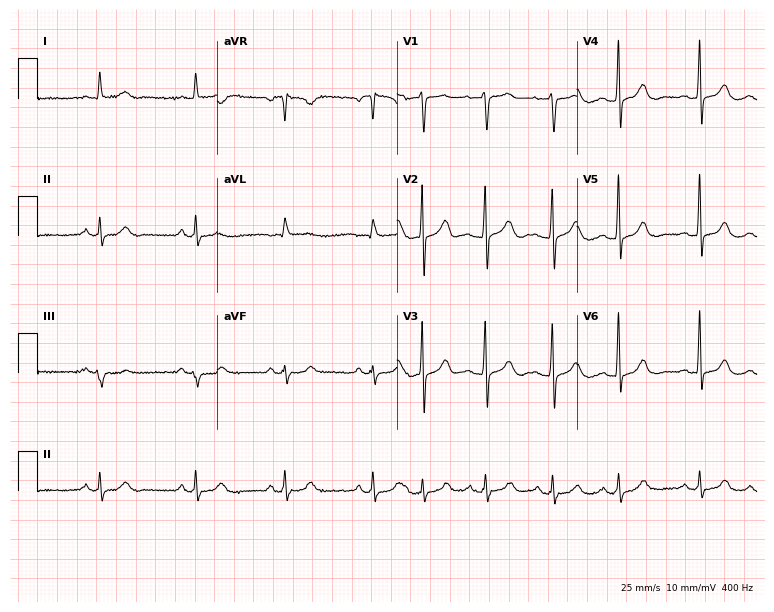
Electrocardiogram, a 73-year-old female. Of the six screened findings (first-degree AV block, right bundle branch block, left bundle branch block, sinus bradycardia, atrial fibrillation, sinus tachycardia), none is recorded.